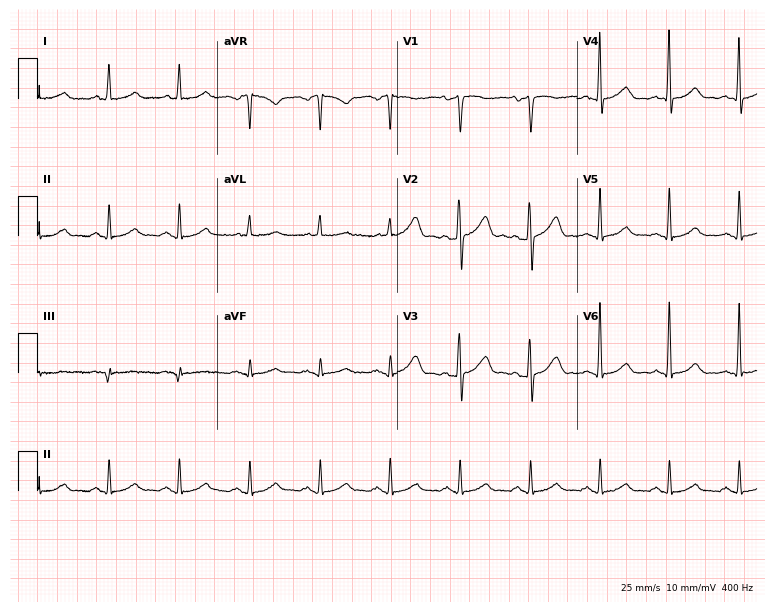
Electrocardiogram, a 46-year-old male. Of the six screened findings (first-degree AV block, right bundle branch block, left bundle branch block, sinus bradycardia, atrial fibrillation, sinus tachycardia), none is recorded.